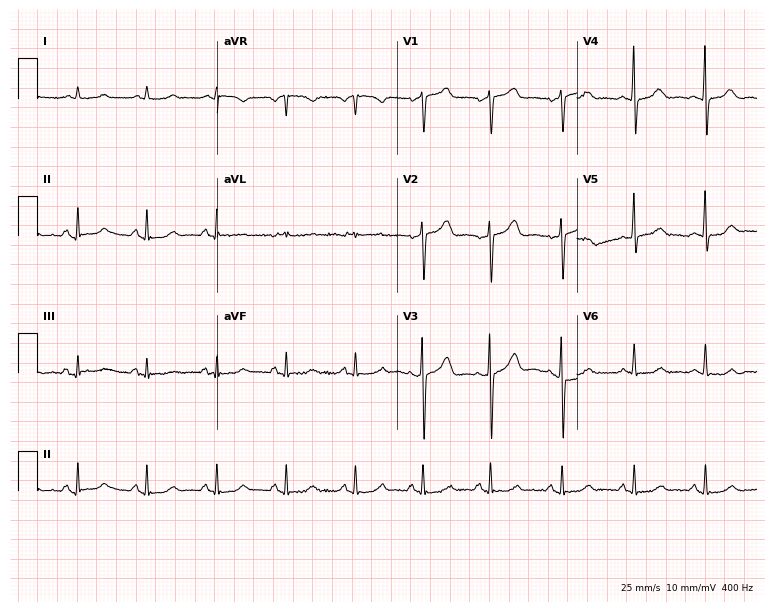
12-lead ECG from a 57-year-old woman. Recorded interpretation: within normal limits.